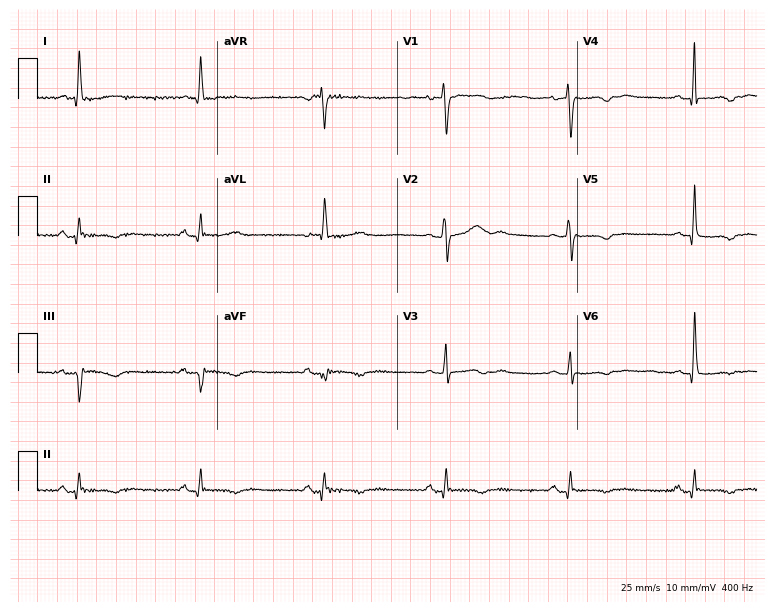
Resting 12-lead electrocardiogram (7.3-second recording at 400 Hz). Patient: a female, 72 years old. The tracing shows sinus bradycardia (a sinus rate of 50 beats per minute or less).